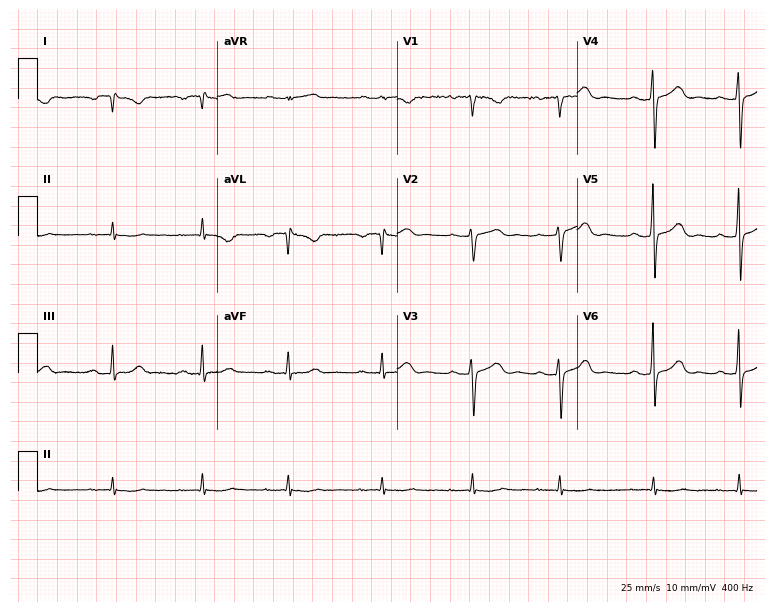
Electrocardiogram (7.3-second recording at 400 Hz), a female patient, 31 years old. Of the six screened findings (first-degree AV block, right bundle branch block, left bundle branch block, sinus bradycardia, atrial fibrillation, sinus tachycardia), none is recorded. Only these six findings were labelled.